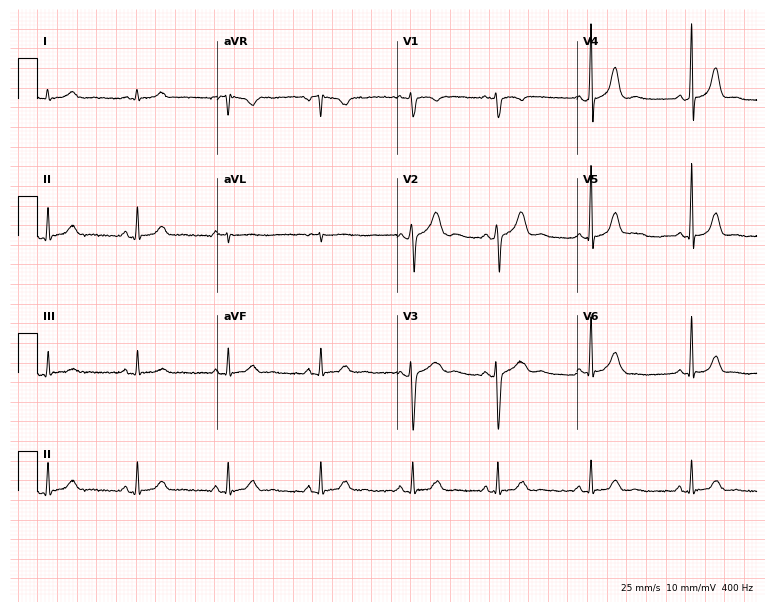
Electrocardiogram (7.3-second recording at 400 Hz), a female patient, 32 years old. Overall reading on record: normal ECG.